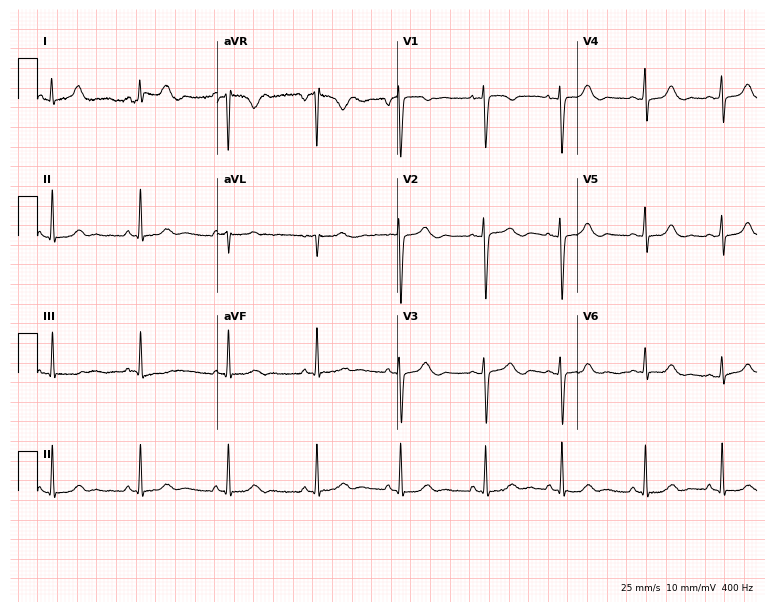
Resting 12-lead electrocardiogram (7.3-second recording at 400 Hz). Patient: a 20-year-old woman. None of these six findings is recorded: first-degree AV block, right bundle branch block, left bundle branch block, sinus bradycardia, atrial fibrillation, sinus tachycardia.